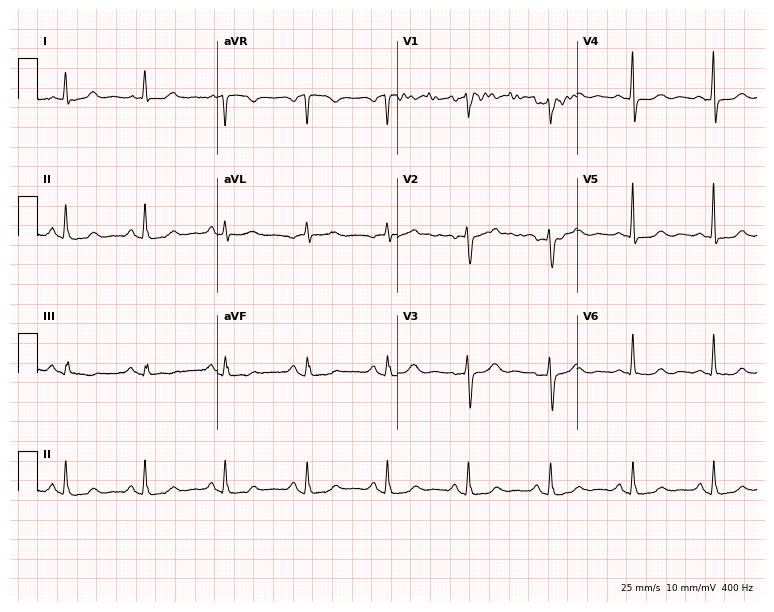
Resting 12-lead electrocardiogram (7.3-second recording at 400 Hz). Patient: a 79-year-old woman. None of these six findings is recorded: first-degree AV block, right bundle branch block, left bundle branch block, sinus bradycardia, atrial fibrillation, sinus tachycardia.